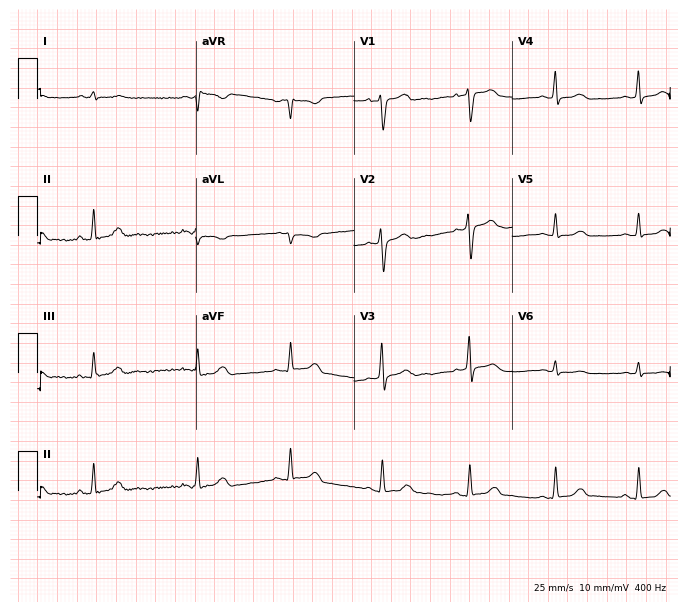
Electrocardiogram (6.5-second recording at 400 Hz), a 41-year-old man. Of the six screened findings (first-degree AV block, right bundle branch block, left bundle branch block, sinus bradycardia, atrial fibrillation, sinus tachycardia), none is recorded. Only these six findings were labelled.